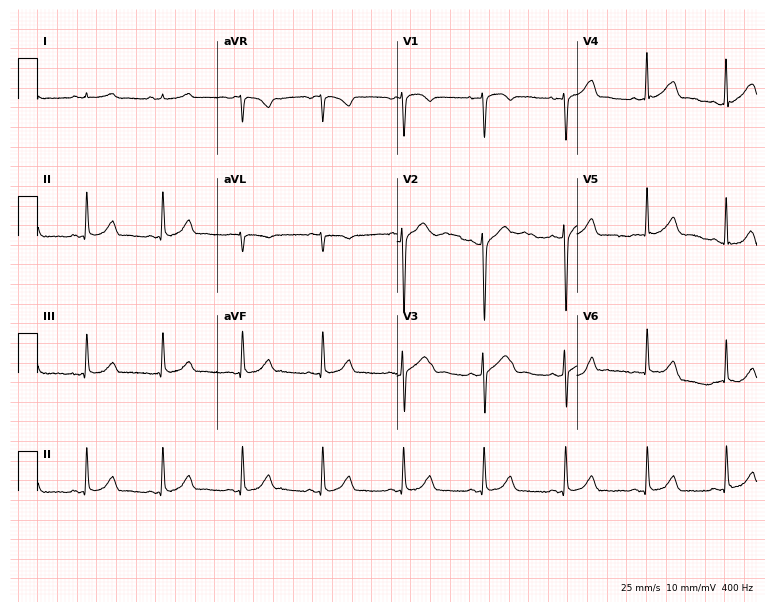
12-lead ECG from a woman, 47 years old (7.3-second recording at 400 Hz). Recorded interpretation: within normal limits.